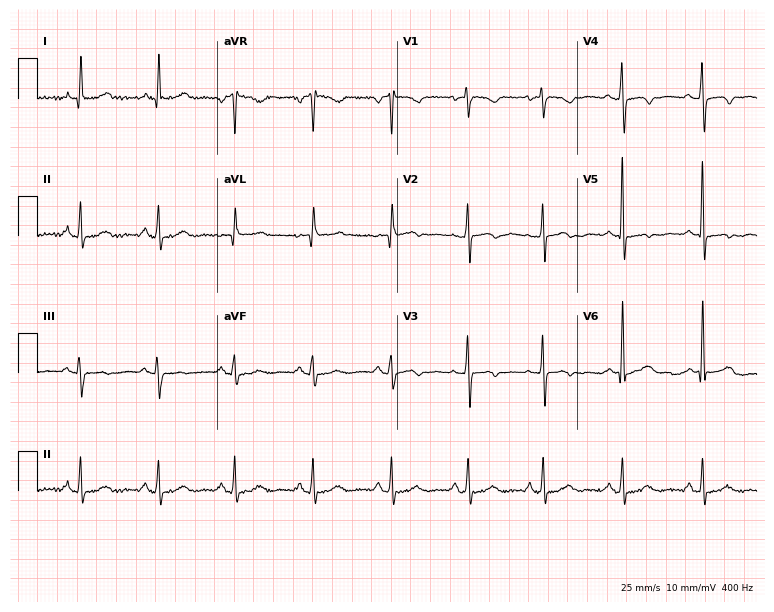
Electrocardiogram (7.3-second recording at 400 Hz), a female, 66 years old. Of the six screened findings (first-degree AV block, right bundle branch block, left bundle branch block, sinus bradycardia, atrial fibrillation, sinus tachycardia), none is recorded. Only these six findings were labelled.